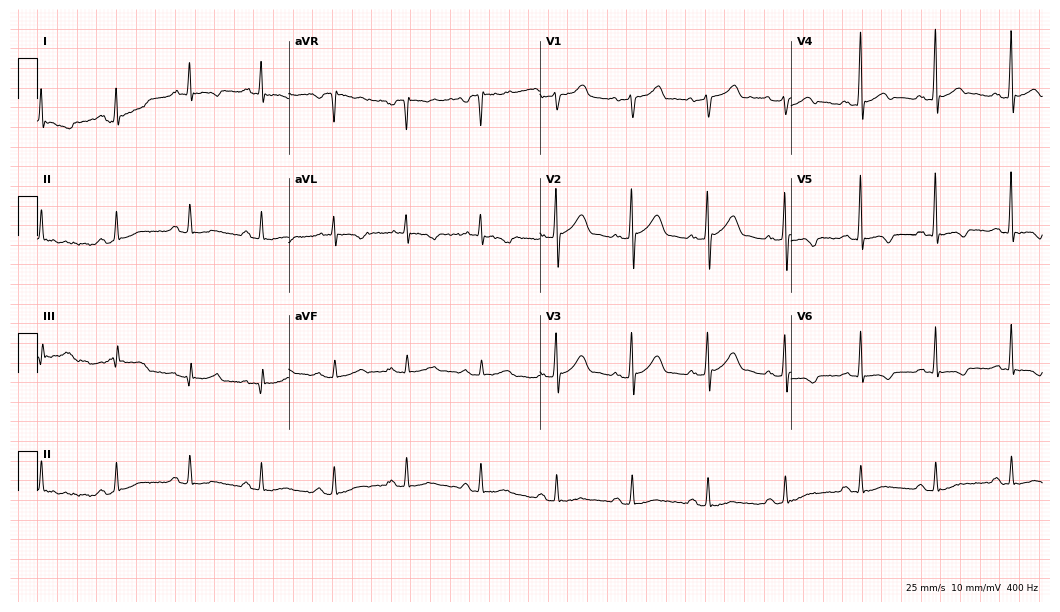
12-lead ECG from a male, 55 years old. No first-degree AV block, right bundle branch block, left bundle branch block, sinus bradycardia, atrial fibrillation or sinus tachycardia recorded for this tracing.